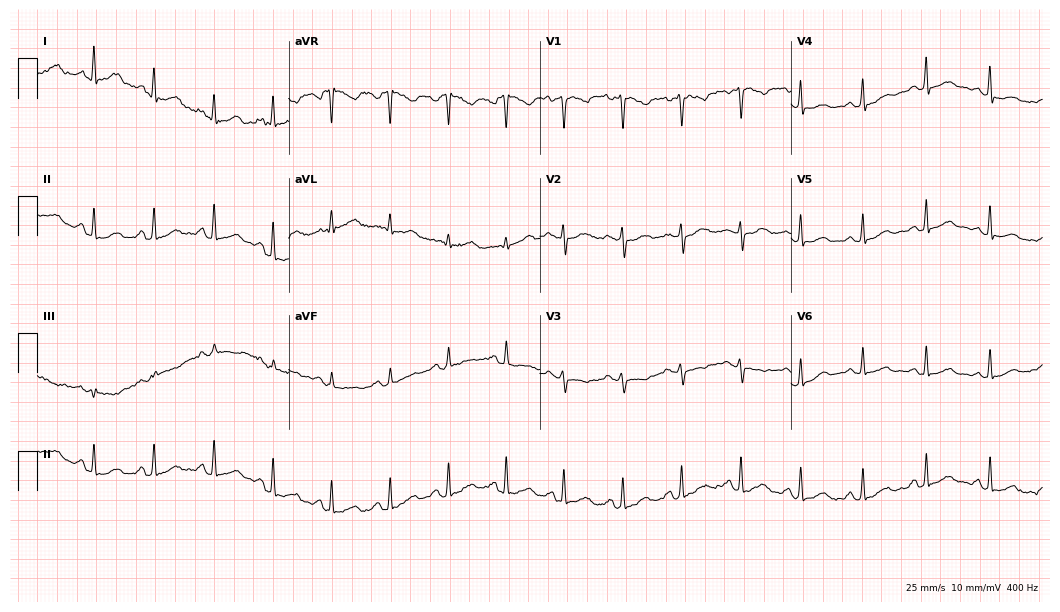
12-lead ECG from a woman, 40 years old. Recorded interpretation: within normal limits.